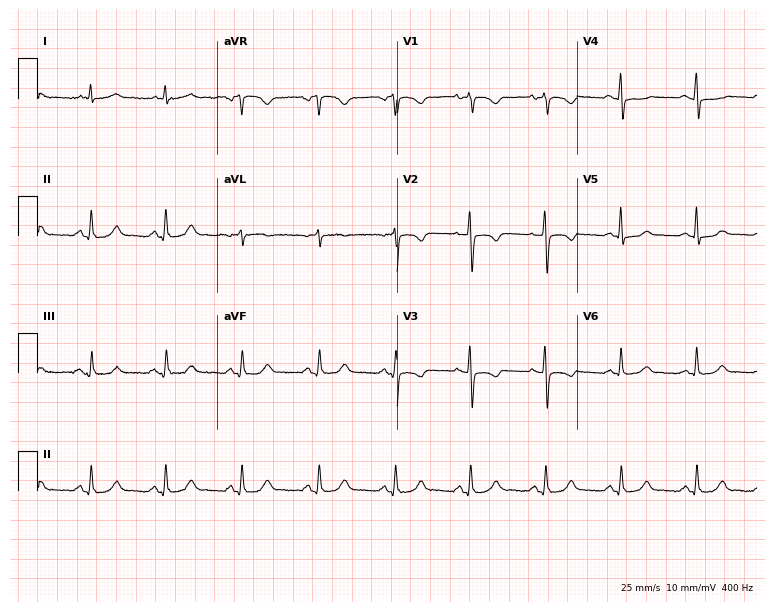
12-lead ECG from a female patient, 63 years old. No first-degree AV block, right bundle branch block, left bundle branch block, sinus bradycardia, atrial fibrillation or sinus tachycardia recorded for this tracing.